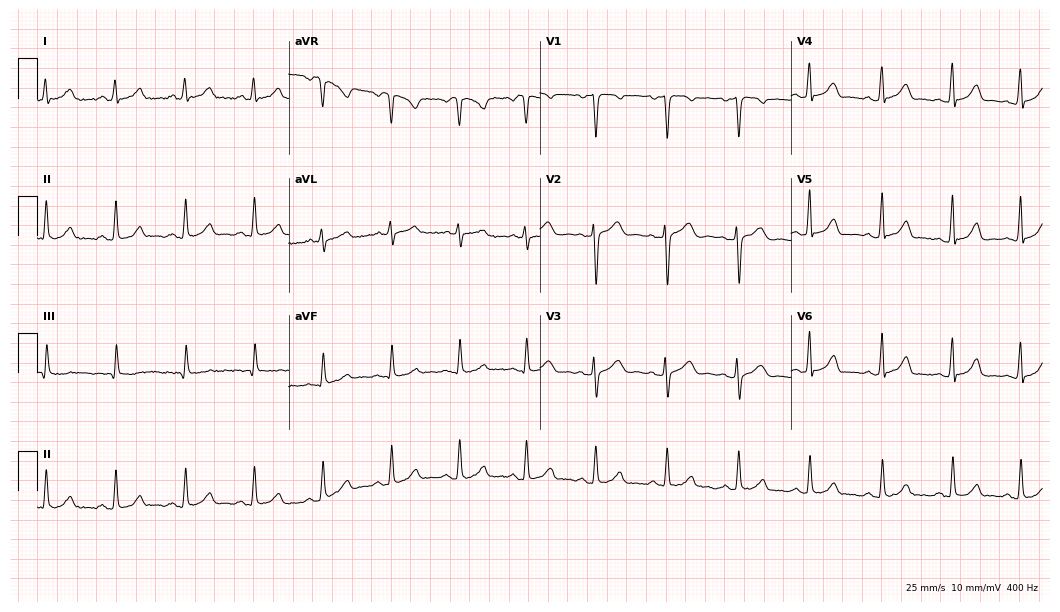
12-lead ECG from a female patient, 25 years old (10.2-second recording at 400 Hz). Recorded interpretation: within normal limits.